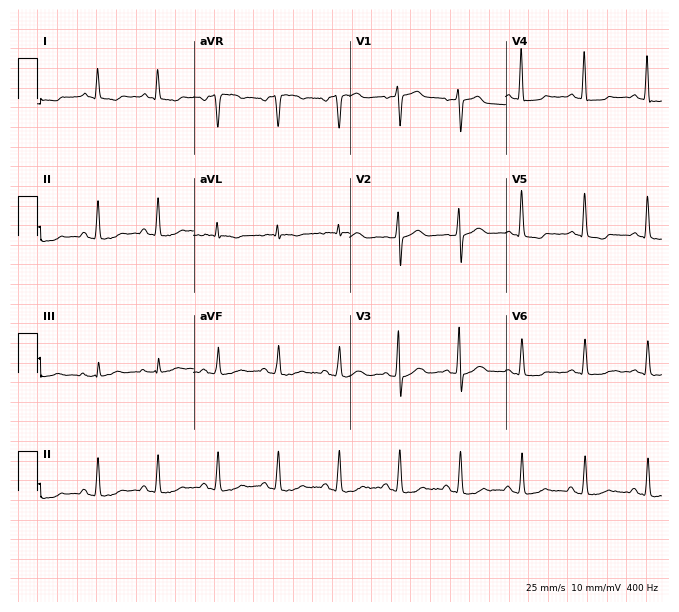
12-lead ECG from a 60-year-old female patient (6.4-second recording at 400 Hz). No first-degree AV block, right bundle branch block (RBBB), left bundle branch block (LBBB), sinus bradycardia, atrial fibrillation (AF) or sinus tachycardia recorded for this tracing. Findings outside these six are not listed.